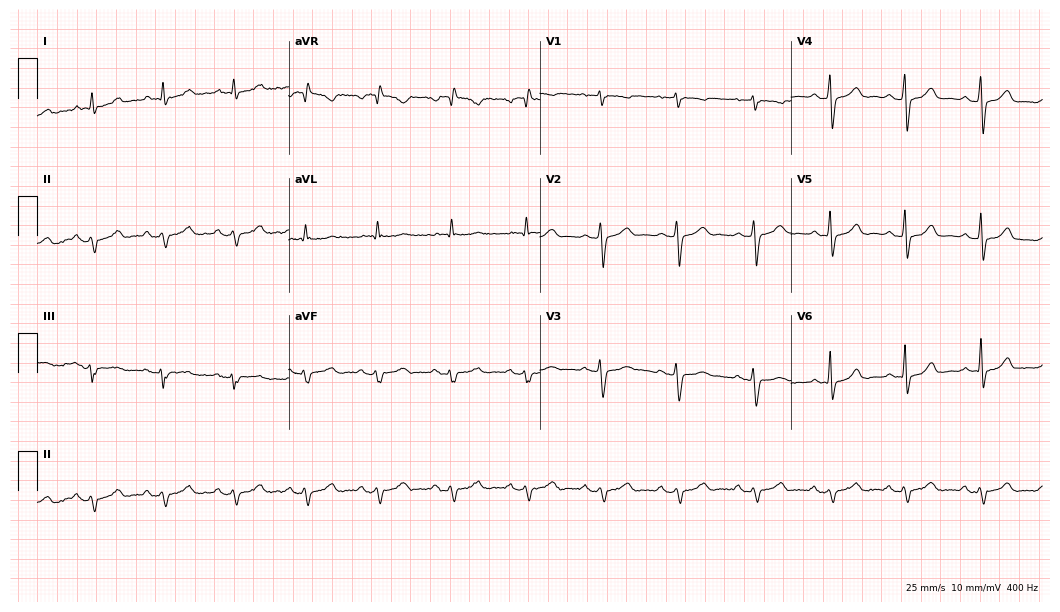
12-lead ECG from a 60-year-old female patient. No first-degree AV block, right bundle branch block (RBBB), left bundle branch block (LBBB), sinus bradycardia, atrial fibrillation (AF) or sinus tachycardia recorded for this tracing.